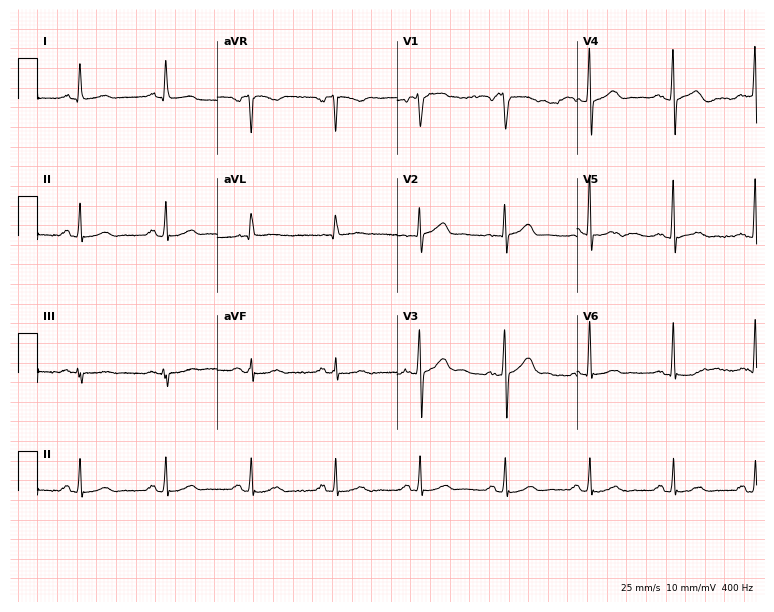
Electrocardiogram, a woman, 72 years old. Overall reading on record: normal ECG.